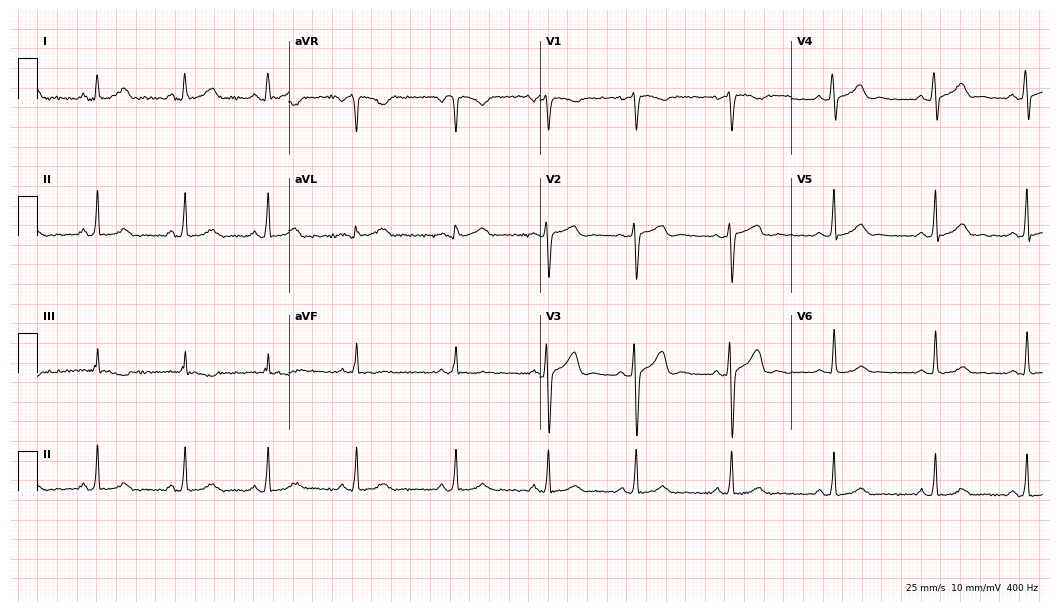
12-lead ECG from a 31-year-old woman (10.2-second recording at 400 Hz). Recorded interpretation: within normal limits.